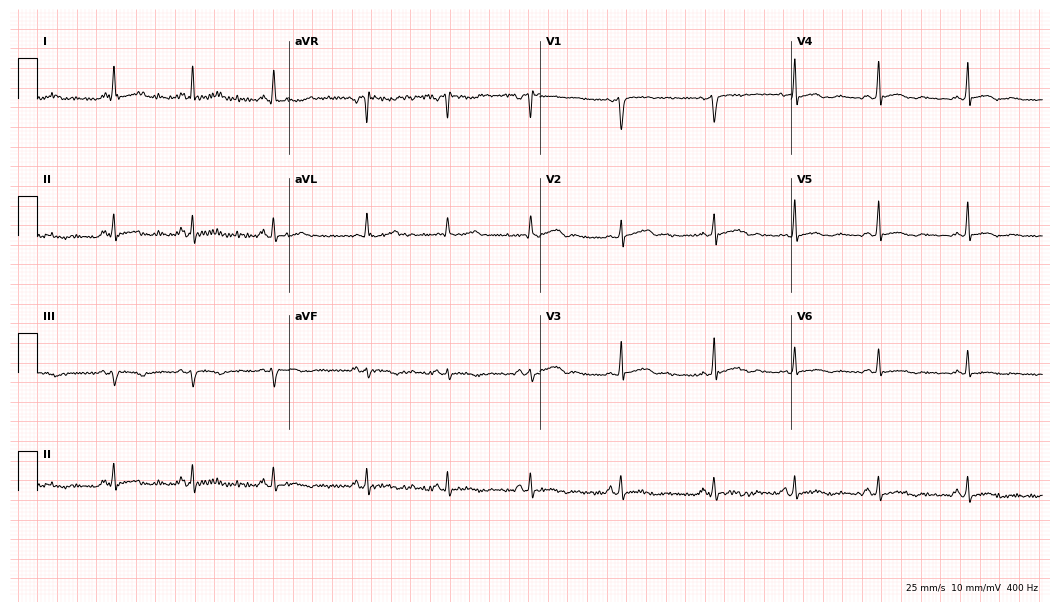
12-lead ECG from a female patient, 45 years old (10.2-second recording at 400 Hz). No first-degree AV block, right bundle branch block, left bundle branch block, sinus bradycardia, atrial fibrillation or sinus tachycardia recorded for this tracing. Other findings, if any, are not listed.